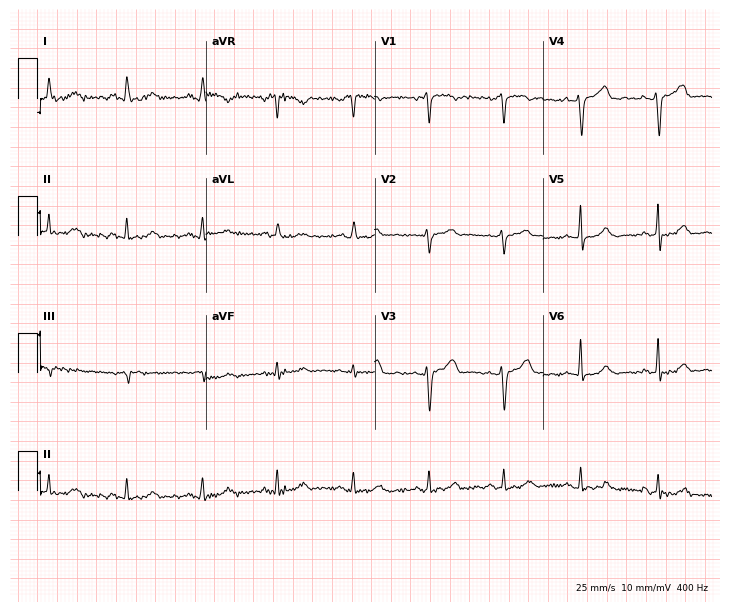
Standard 12-lead ECG recorded from a female patient, 41 years old (6.9-second recording at 400 Hz). None of these six findings is recorded: first-degree AV block, right bundle branch block, left bundle branch block, sinus bradycardia, atrial fibrillation, sinus tachycardia.